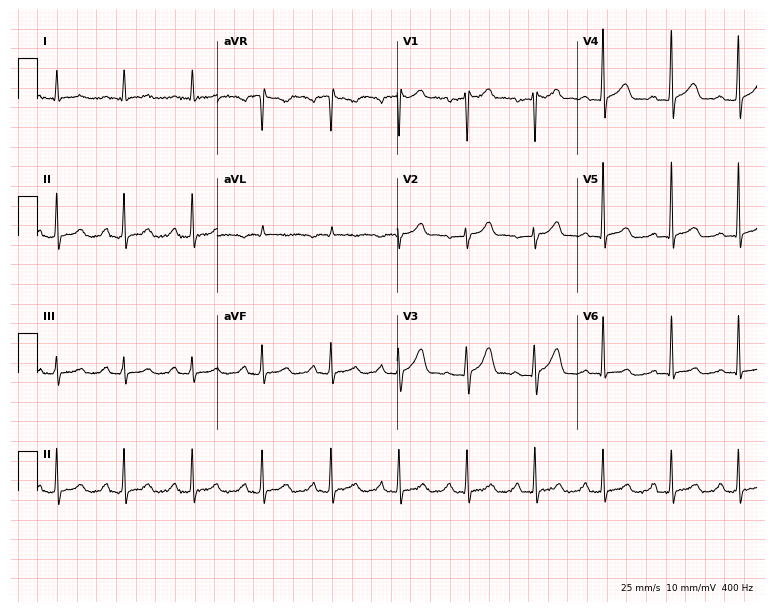
ECG — a man, 57 years old. Labelled as a normal ECG.